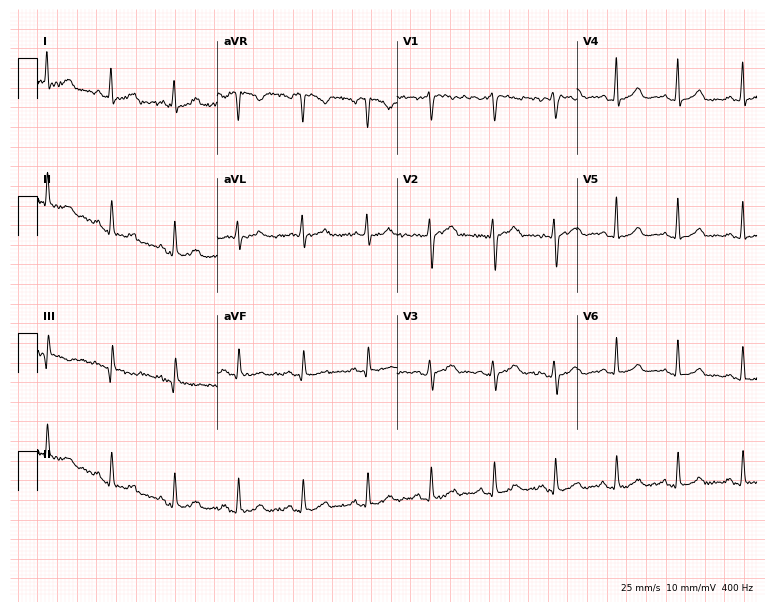
ECG (7.3-second recording at 400 Hz) — a woman, 47 years old. Screened for six findings — first-degree AV block, right bundle branch block (RBBB), left bundle branch block (LBBB), sinus bradycardia, atrial fibrillation (AF), sinus tachycardia — none is recorded. Findings outside these six are not listed.